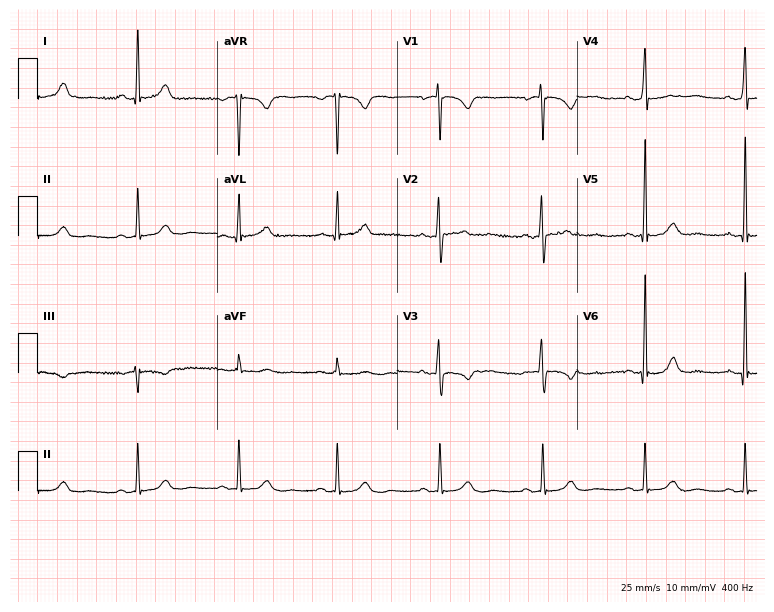
Resting 12-lead electrocardiogram. Patient: a female, 46 years old. Read as a normal ECG.